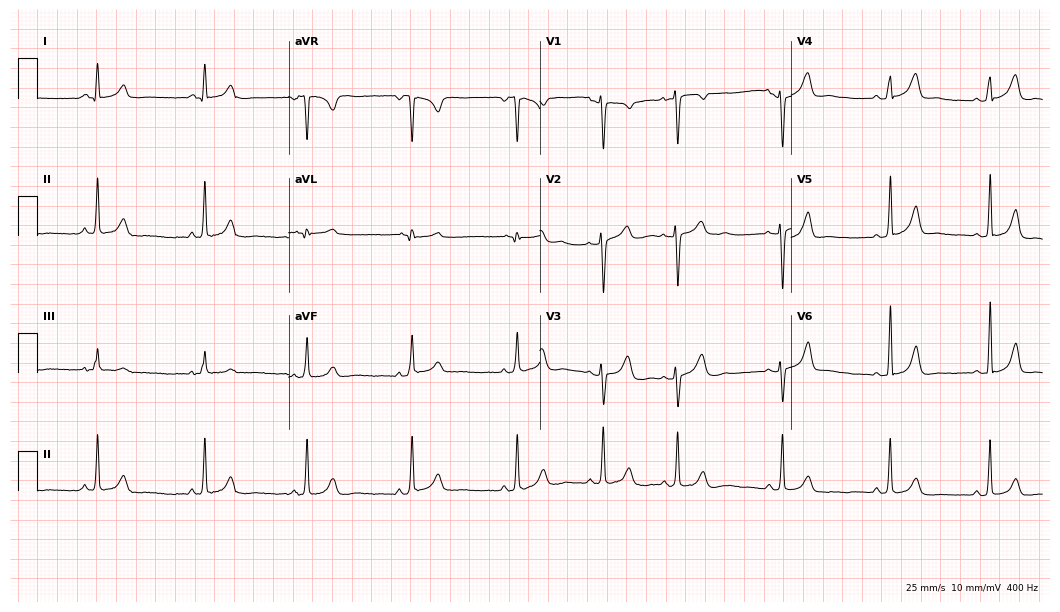
Standard 12-lead ECG recorded from a woman, 17 years old. None of these six findings is recorded: first-degree AV block, right bundle branch block (RBBB), left bundle branch block (LBBB), sinus bradycardia, atrial fibrillation (AF), sinus tachycardia. Other findings, if any, are not listed.